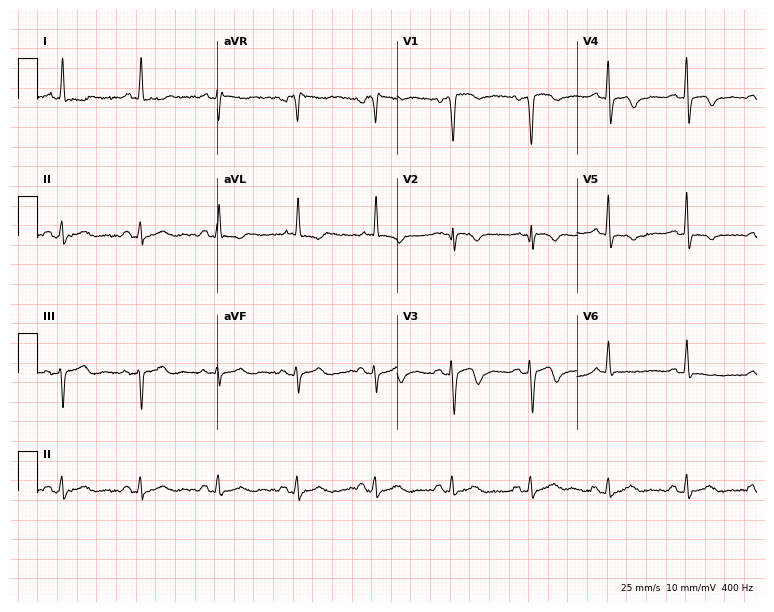
Resting 12-lead electrocardiogram. Patient: a 62-year-old woman. None of these six findings is recorded: first-degree AV block, right bundle branch block, left bundle branch block, sinus bradycardia, atrial fibrillation, sinus tachycardia. Only these six findings were labelled.